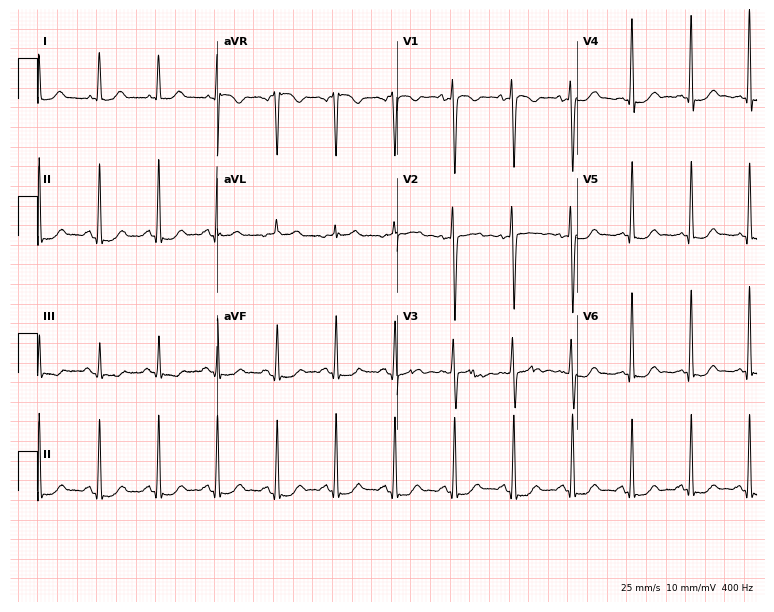
12-lead ECG from a 23-year-old woman (7.3-second recording at 400 Hz). No first-degree AV block, right bundle branch block, left bundle branch block, sinus bradycardia, atrial fibrillation or sinus tachycardia recorded for this tracing. Other findings, if any, are not listed.